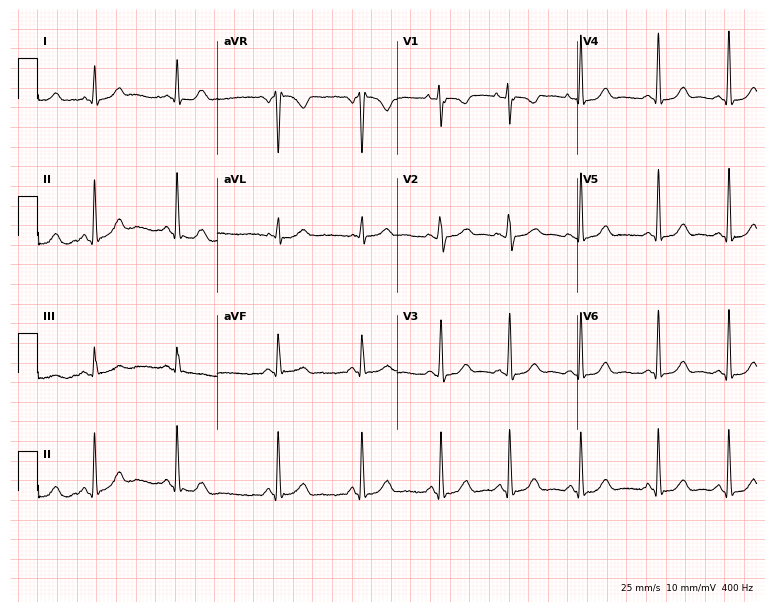
ECG — a woman, 25 years old. Labelled as a normal ECG.